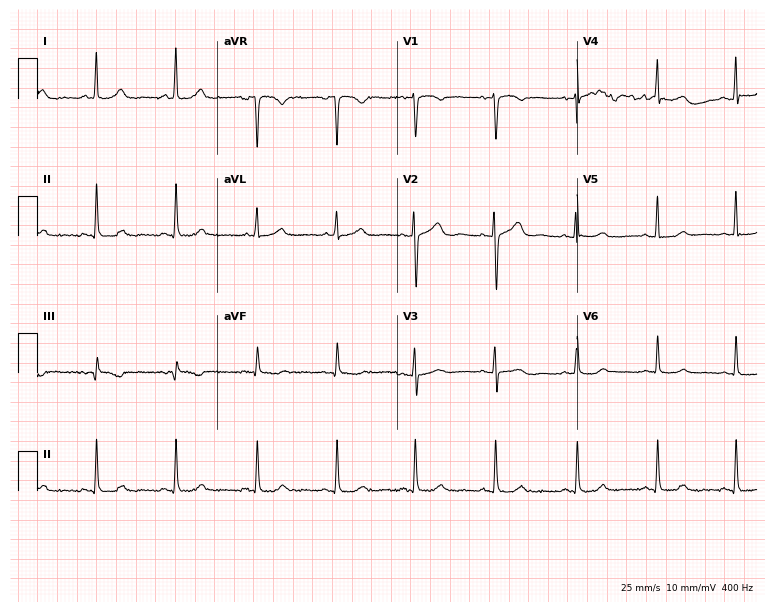
12-lead ECG from a woman, 42 years old (7.3-second recording at 400 Hz). No first-degree AV block, right bundle branch block, left bundle branch block, sinus bradycardia, atrial fibrillation or sinus tachycardia recorded for this tracing.